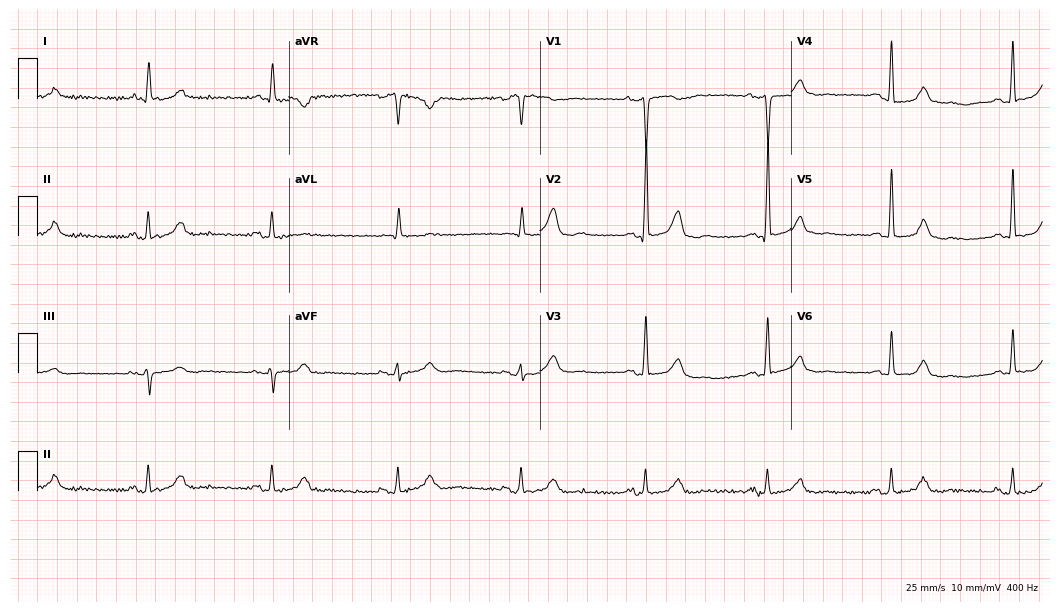
ECG — a 72-year-old female. Findings include sinus bradycardia (a sinus rate of 50 beats per minute or less).